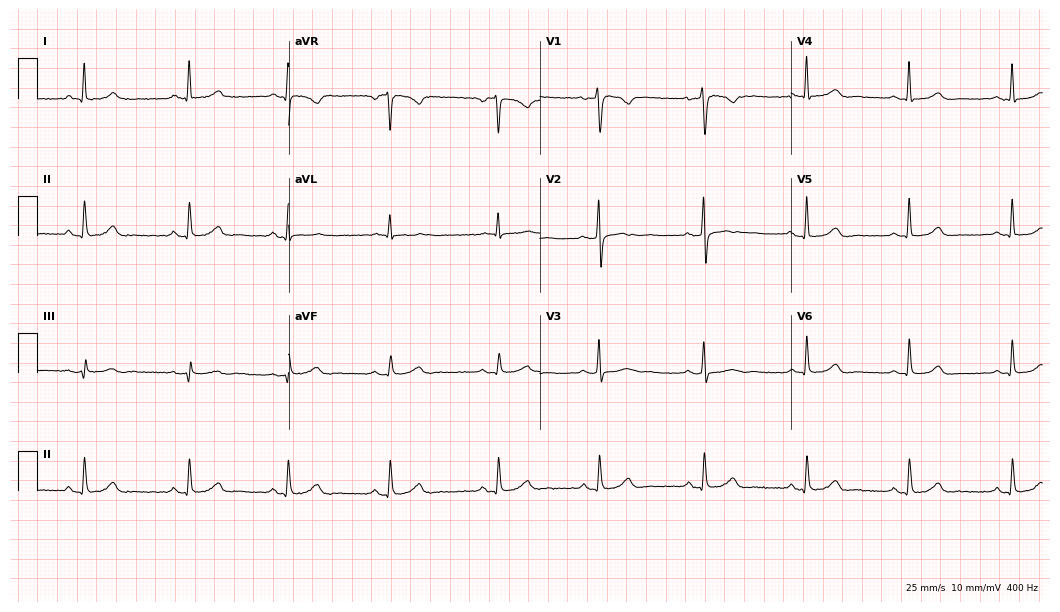
12-lead ECG from a 46-year-old woman (10.2-second recording at 400 Hz). Recorded interpretation: within normal limits.